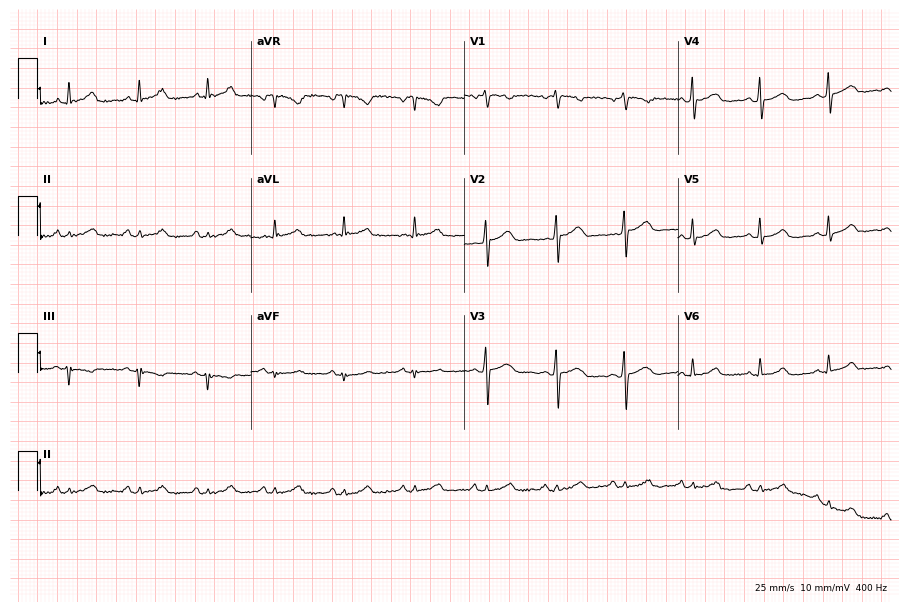
Standard 12-lead ECG recorded from a female, 63 years old (8.7-second recording at 400 Hz). None of these six findings is recorded: first-degree AV block, right bundle branch block (RBBB), left bundle branch block (LBBB), sinus bradycardia, atrial fibrillation (AF), sinus tachycardia. Findings outside these six are not listed.